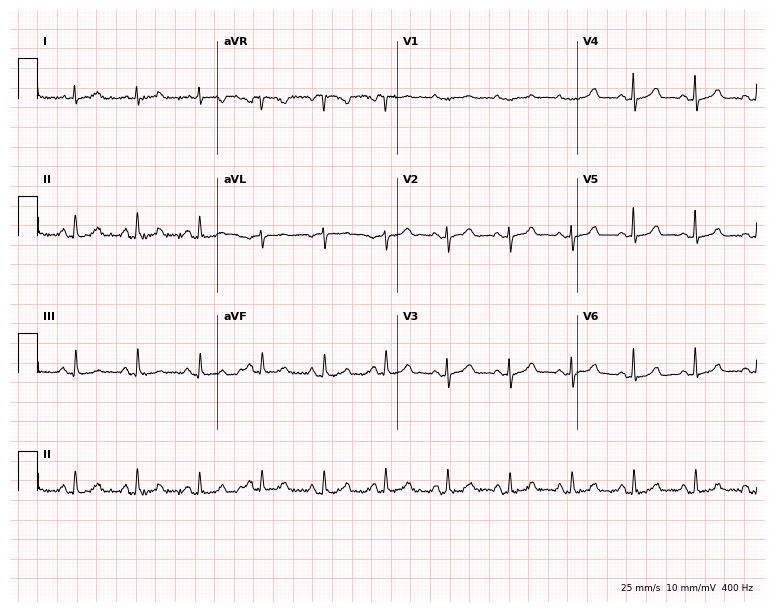
12-lead ECG from a female, 71 years old (7.3-second recording at 400 Hz). Recorded interpretation: within normal limits.